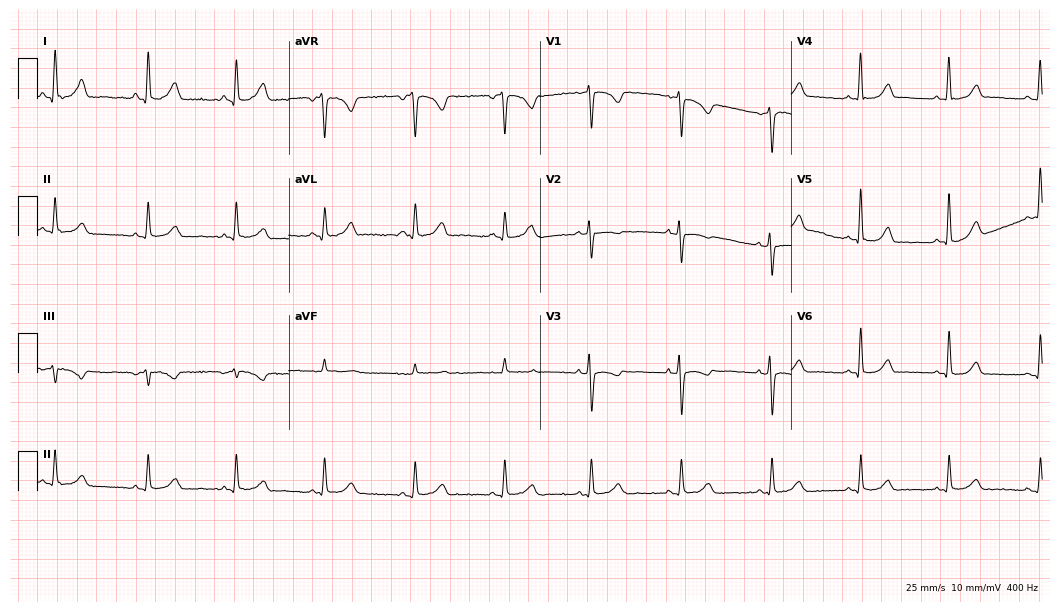
Standard 12-lead ECG recorded from a female patient, 33 years old (10.2-second recording at 400 Hz). Read as a normal ECG.